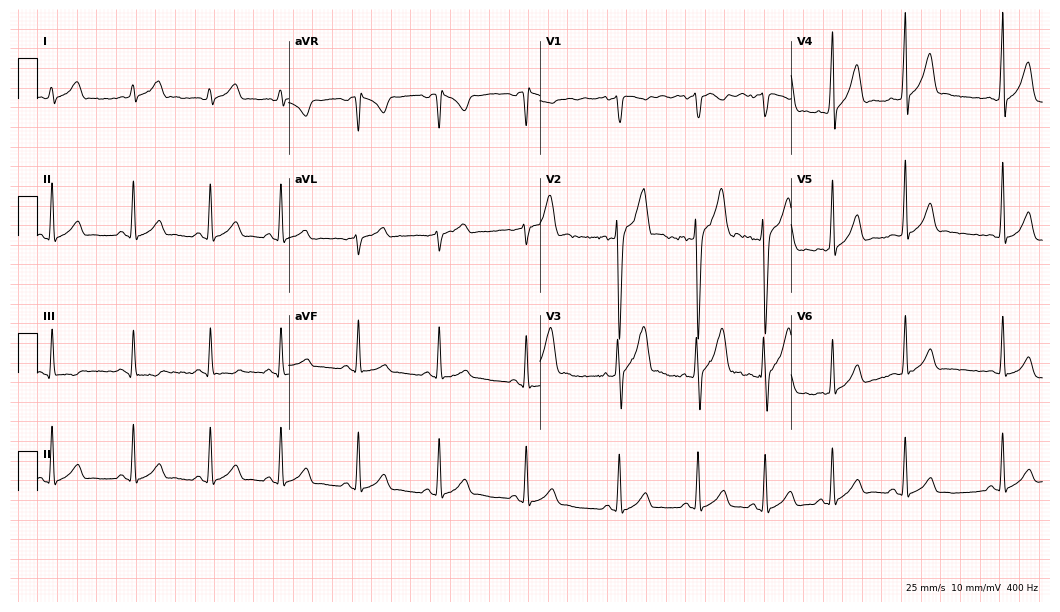
Electrocardiogram, a male patient, 25 years old. Overall reading on record: normal ECG.